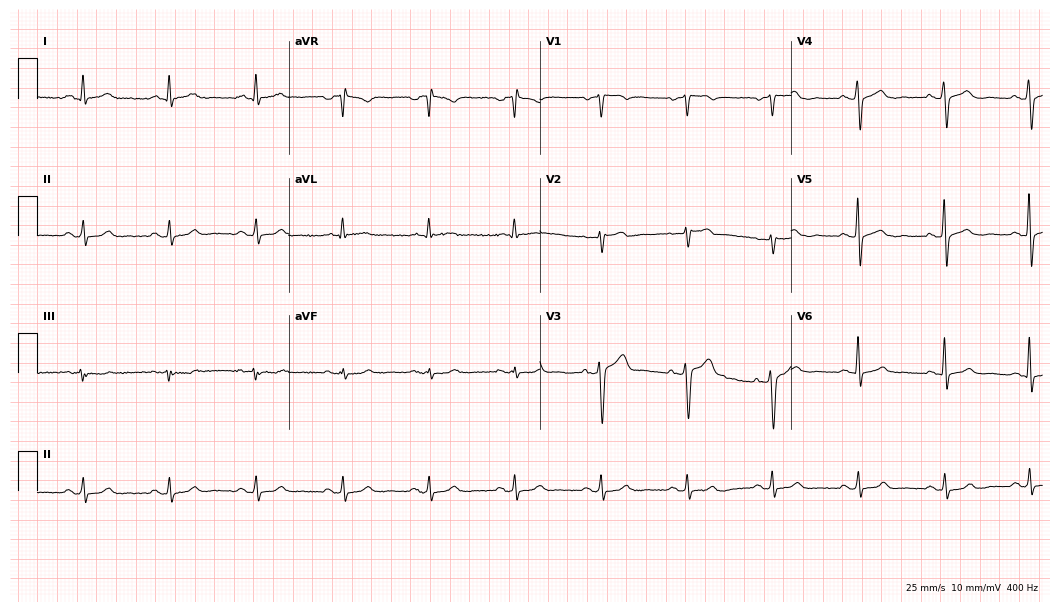
12-lead ECG from a man, 54 years old (10.2-second recording at 400 Hz). Recorded interpretation: within normal limits.